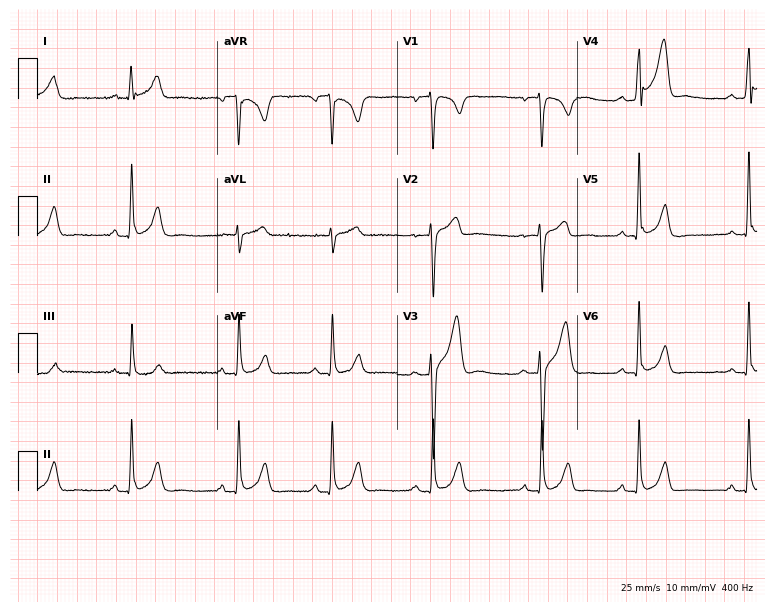
ECG (7.3-second recording at 400 Hz) — a male patient, 22 years old. Screened for six findings — first-degree AV block, right bundle branch block, left bundle branch block, sinus bradycardia, atrial fibrillation, sinus tachycardia — none is recorded.